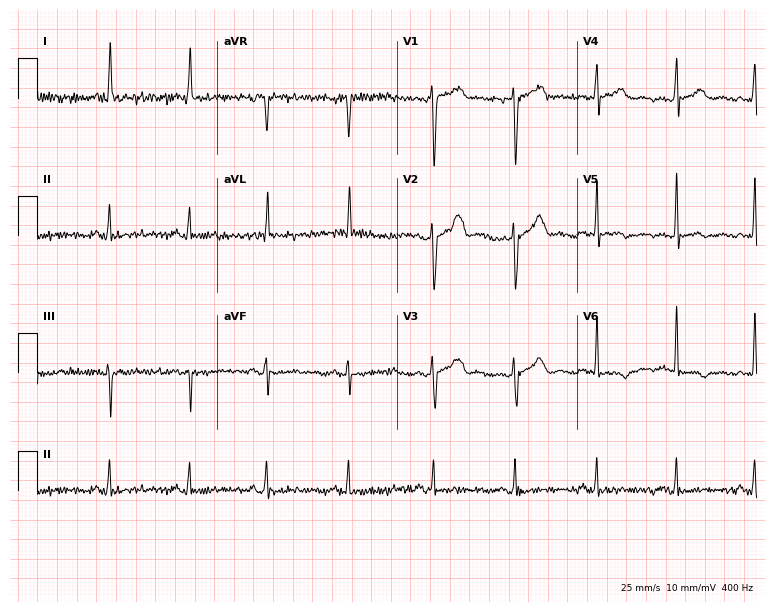
Resting 12-lead electrocardiogram. Patient: a 43-year-old female. None of these six findings is recorded: first-degree AV block, right bundle branch block, left bundle branch block, sinus bradycardia, atrial fibrillation, sinus tachycardia.